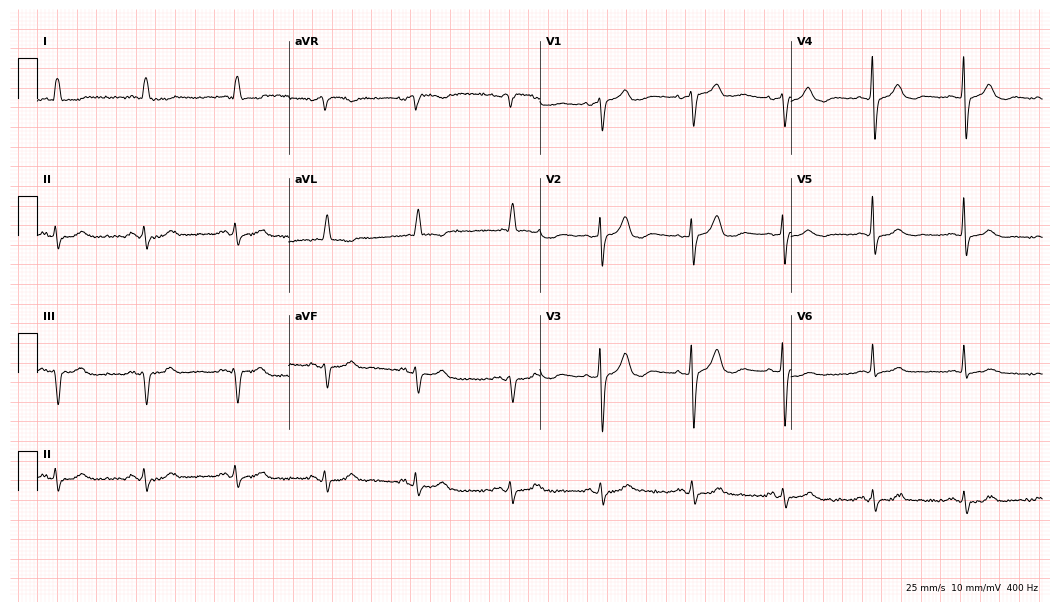
Standard 12-lead ECG recorded from a female patient, 84 years old. None of these six findings is recorded: first-degree AV block, right bundle branch block (RBBB), left bundle branch block (LBBB), sinus bradycardia, atrial fibrillation (AF), sinus tachycardia. Other findings, if any, are not listed.